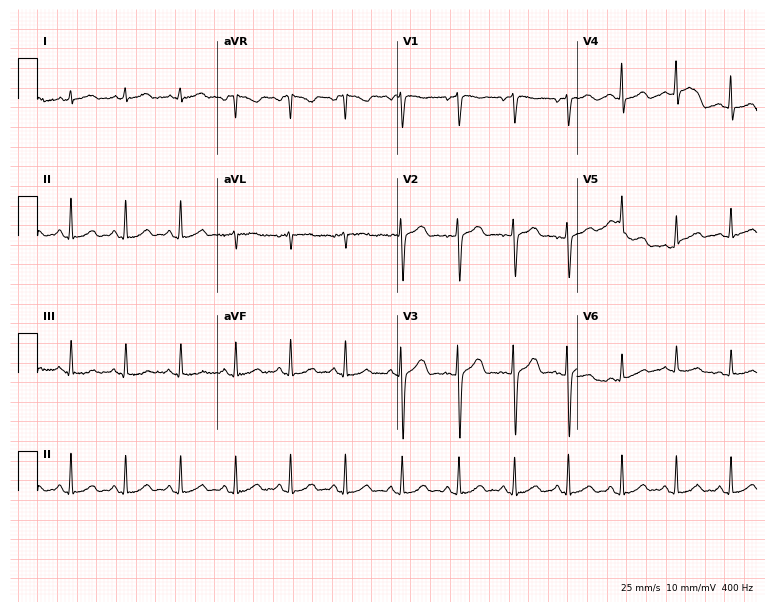
Electrocardiogram (7.3-second recording at 400 Hz), a 30-year-old female. Interpretation includes sinus tachycardia (a sinus rate of 100 beats per minute or more).